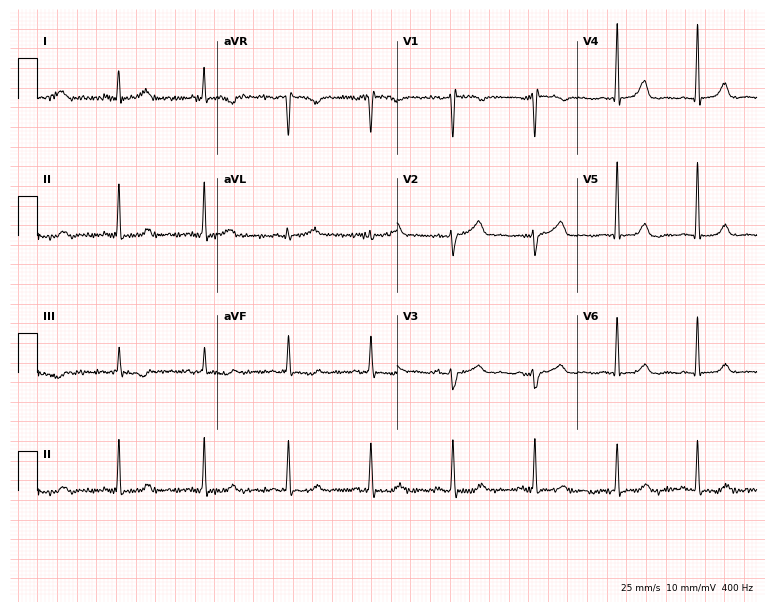
Resting 12-lead electrocardiogram. Patient: a 56-year-old female. None of these six findings is recorded: first-degree AV block, right bundle branch block, left bundle branch block, sinus bradycardia, atrial fibrillation, sinus tachycardia.